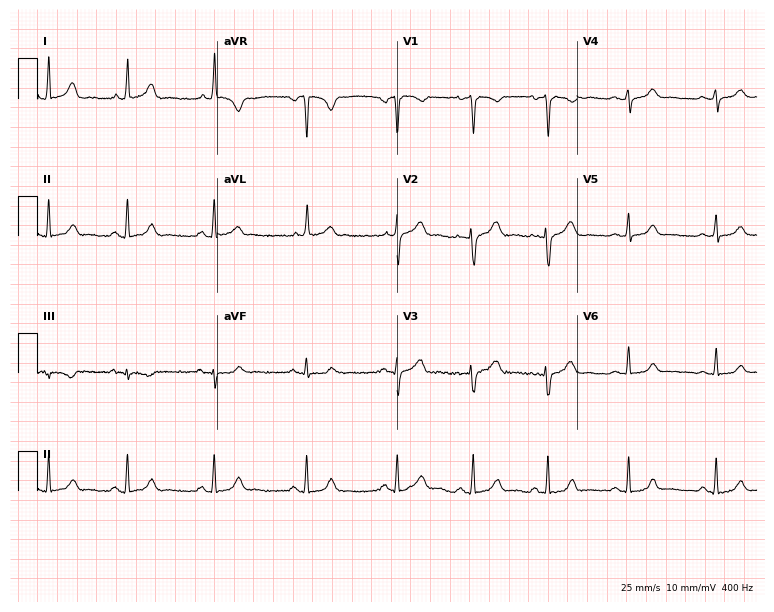
12-lead ECG (7.3-second recording at 400 Hz) from a female, 36 years old. Labelled as a normal ECG.